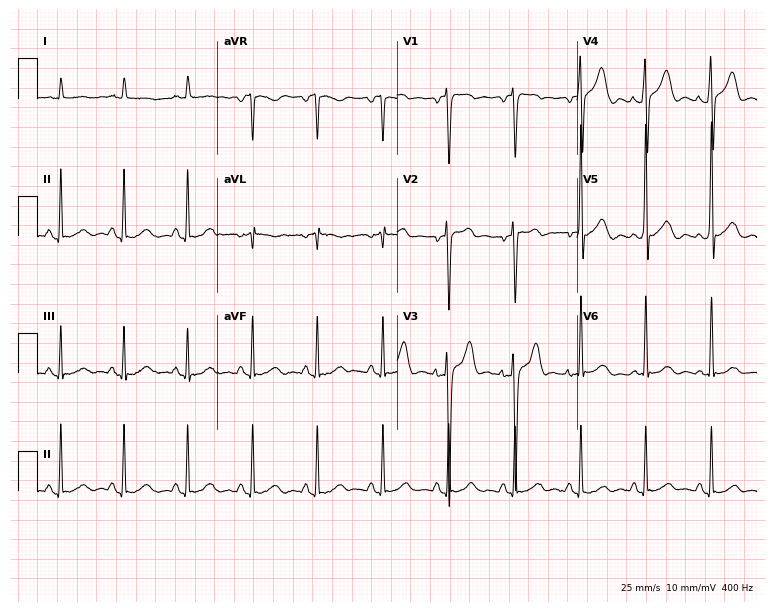
Resting 12-lead electrocardiogram (7.3-second recording at 400 Hz). Patient: a male, 57 years old. None of these six findings is recorded: first-degree AV block, right bundle branch block (RBBB), left bundle branch block (LBBB), sinus bradycardia, atrial fibrillation (AF), sinus tachycardia. Only these six findings were labelled.